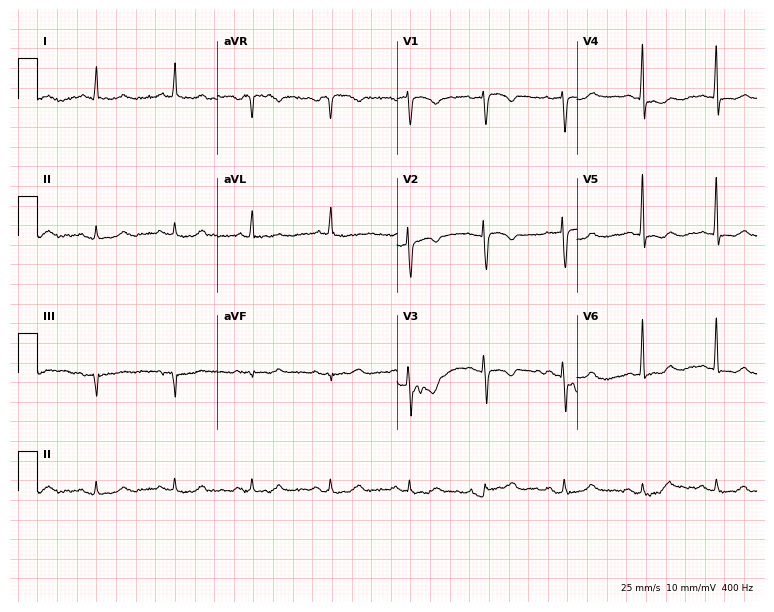
Resting 12-lead electrocardiogram (7.3-second recording at 400 Hz). Patient: a woman, 73 years old. None of these six findings is recorded: first-degree AV block, right bundle branch block, left bundle branch block, sinus bradycardia, atrial fibrillation, sinus tachycardia.